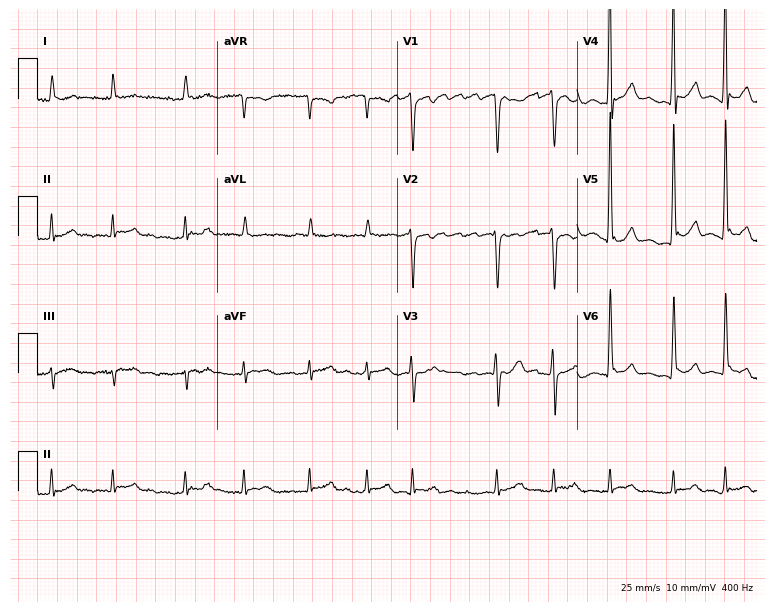
Electrocardiogram (7.3-second recording at 400 Hz), a 76-year-old man. Interpretation includes atrial fibrillation (AF).